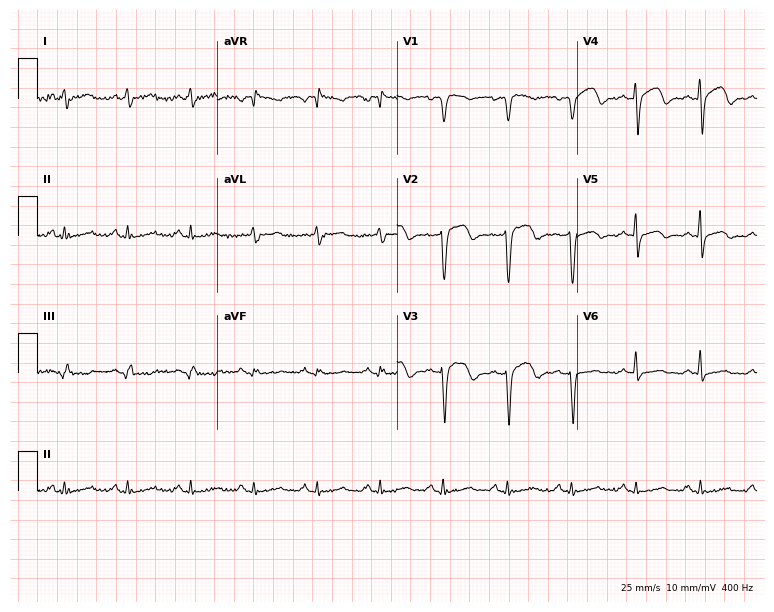
Electrocardiogram (7.3-second recording at 400 Hz), a 26-year-old woman. Overall reading on record: normal ECG.